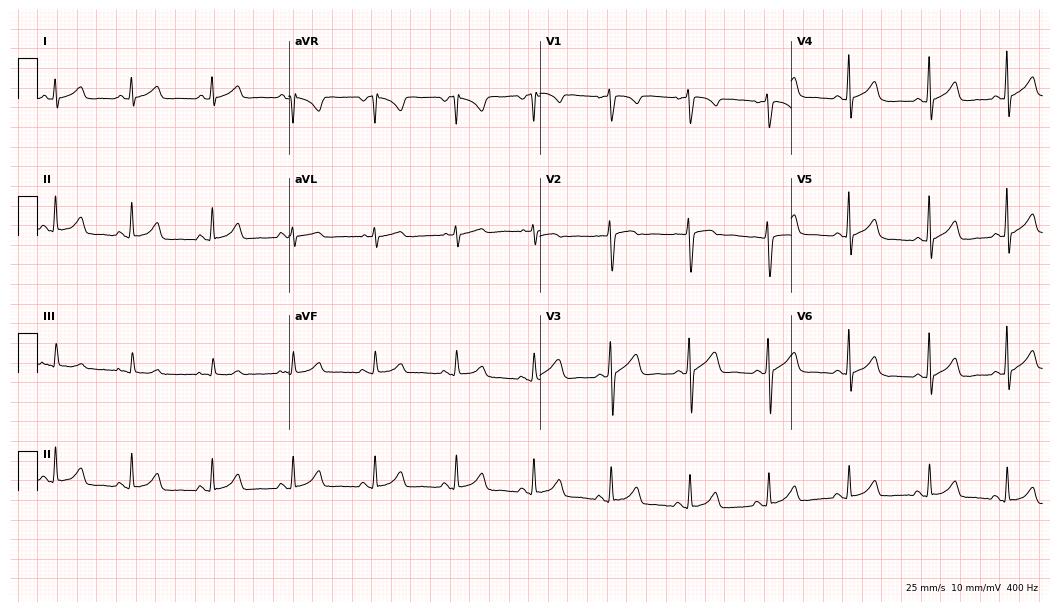
ECG — a female, 39 years old. Labelled as a normal ECG.